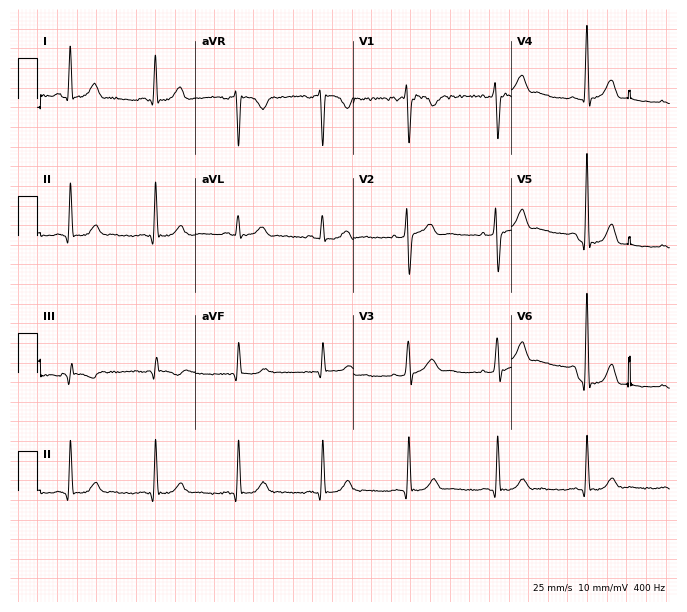
Electrocardiogram (6.4-second recording at 400 Hz), a 35-year-old male patient. Overall reading on record: normal ECG.